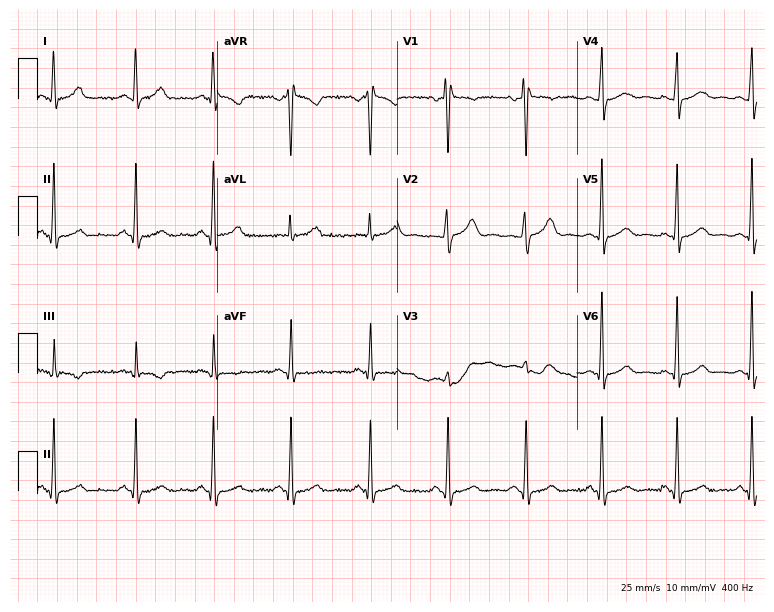
Resting 12-lead electrocardiogram. Patient: a woman, 25 years old. None of these six findings is recorded: first-degree AV block, right bundle branch block, left bundle branch block, sinus bradycardia, atrial fibrillation, sinus tachycardia.